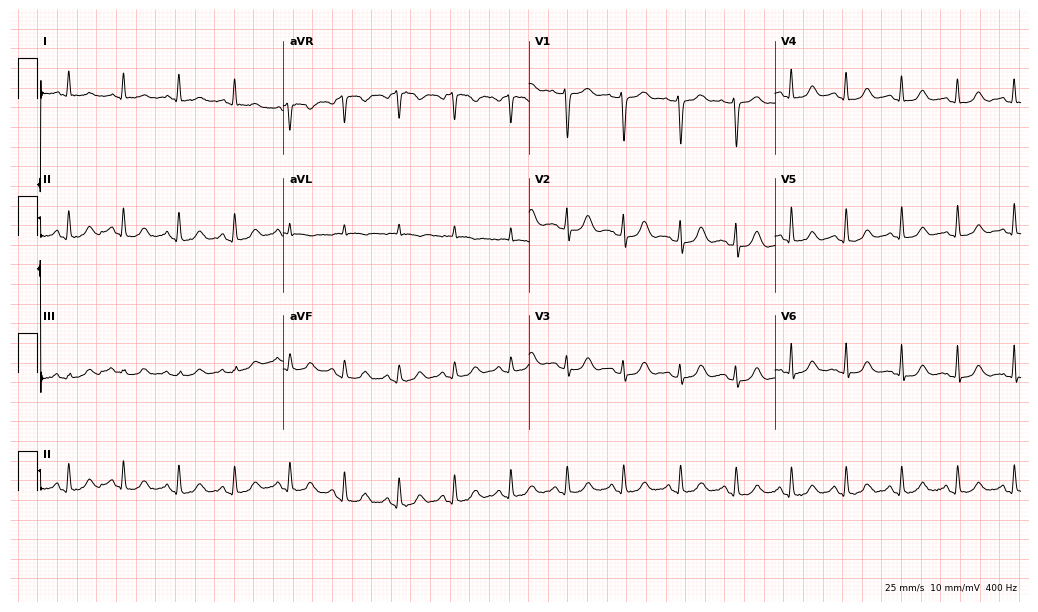
Resting 12-lead electrocardiogram. Patient: a female, 50 years old. None of these six findings is recorded: first-degree AV block, right bundle branch block, left bundle branch block, sinus bradycardia, atrial fibrillation, sinus tachycardia.